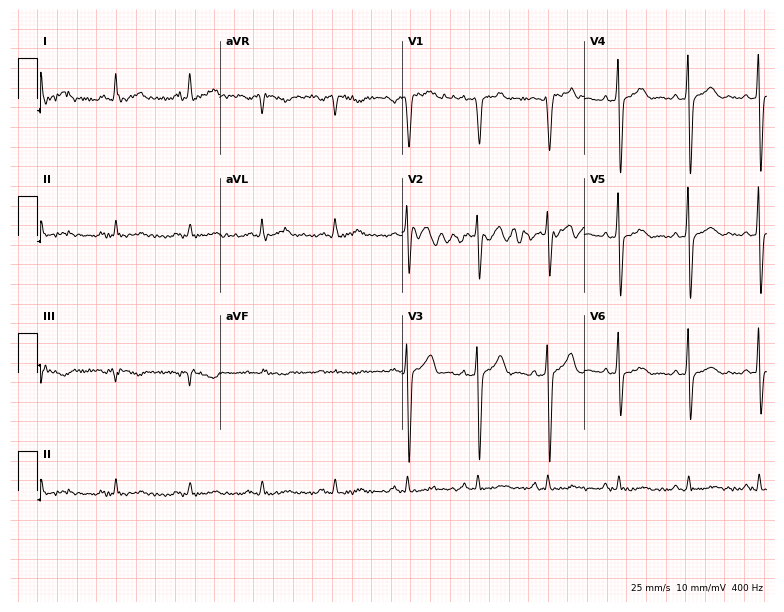
Standard 12-lead ECG recorded from a 51-year-old man (7.4-second recording at 400 Hz). None of these six findings is recorded: first-degree AV block, right bundle branch block, left bundle branch block, sinus bradycardia, atrial fibrillation, sinus tachycardia. Only these six findings were labelled.